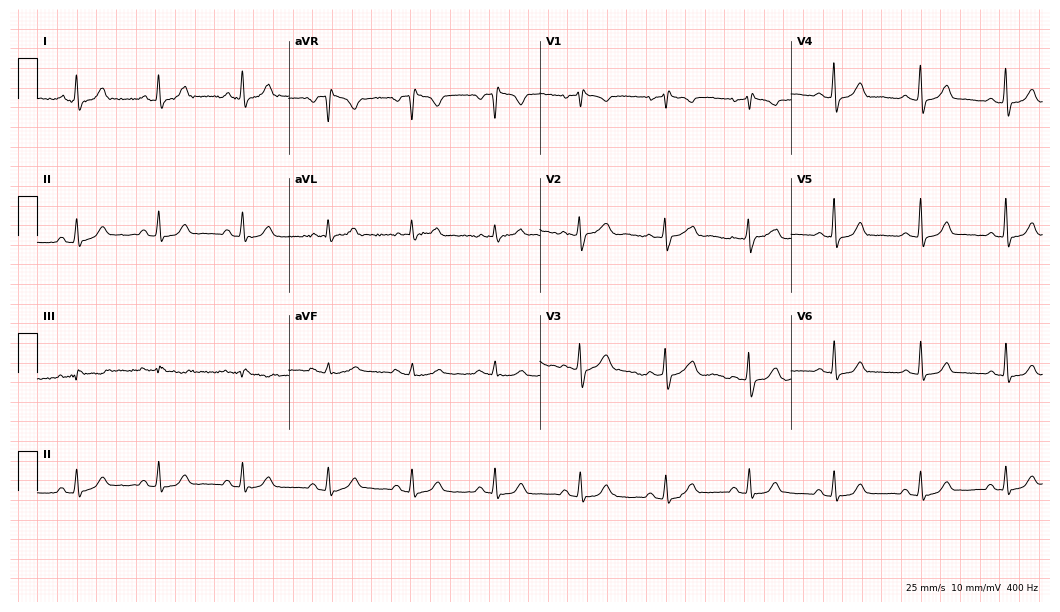
12-lead ECG from a 41-year-old woman (10.2-second recording at 400 Hz). No first-degree AV block, right bundle branch block, left bundle branch block, sinus bradycardia, atrial fibrillation or sinus tachycardia recorded for this tracing.